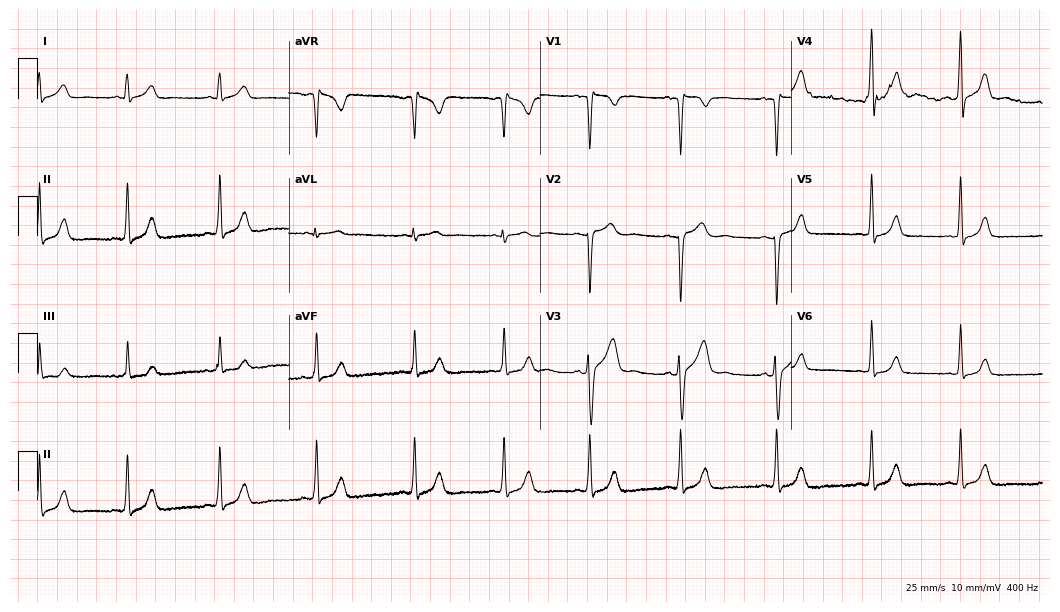
Resting 12-lead electrocardiogram (10.2-second recording at 400 Hz). Patient: a man, 19 years old. Read as a normal ECG.